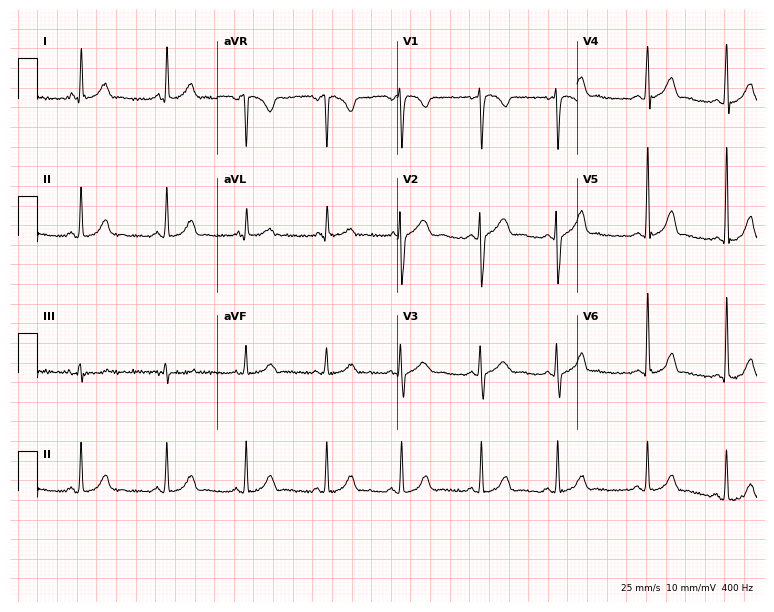
12-lead ECG from a 17-year-old woman (7.3-second recording at 400 Hz). No first-degree AV block, right bundle branch block, left bundle branch block, sinus bradycardia, atrial fibrillation or sinus tachycardia recorded for this tracing. Other findings, if any, are not listed.